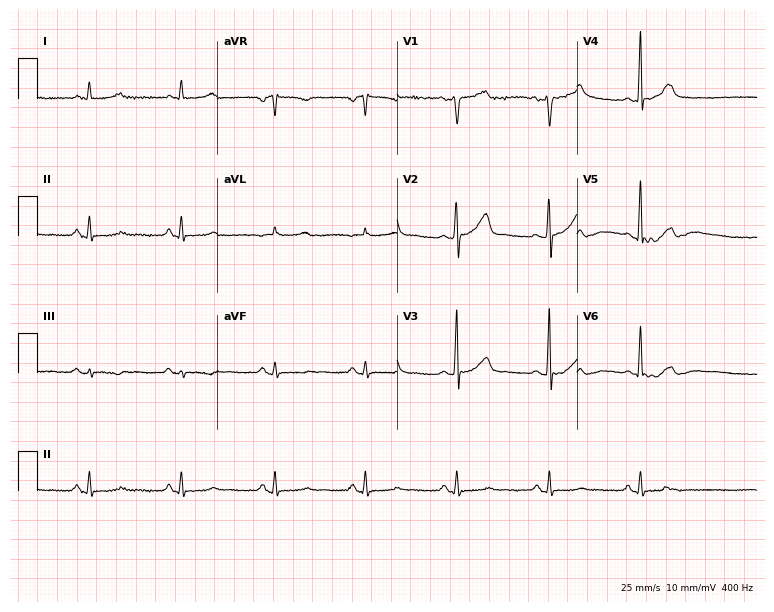
12-lead ECG from a 49-year-old man. Labelled as a normal ECG.